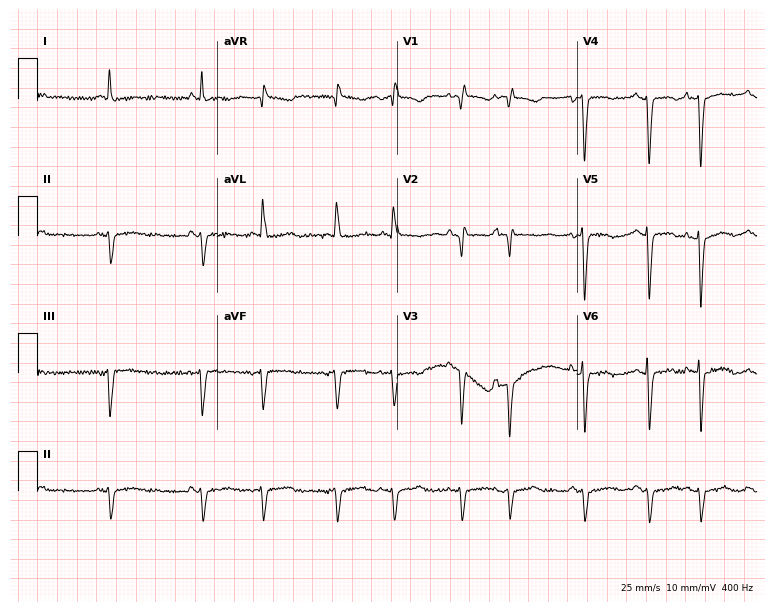
12-lead ECG from a woman, 84 years old. Screened for six findings — first-degree AV block, right bundle branch block (RBBB), left bundle branch block (LBBB), sinus bradycardia, atrial fibrillation (AF), sinus tachycardia — none is recorded.